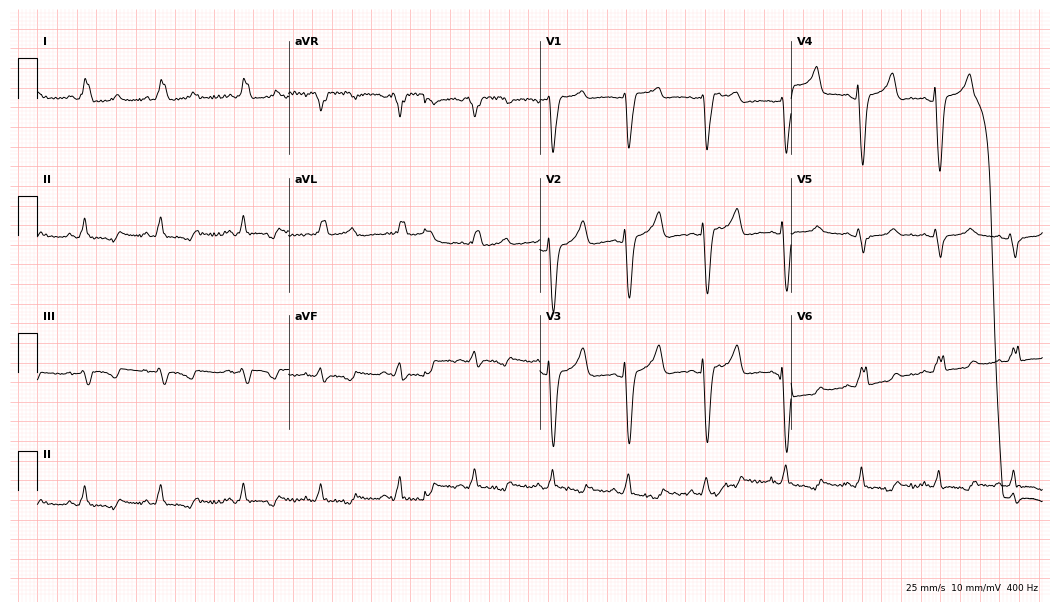
ECG (10.2-second recording at 400 Hz) — a female patient, 74 years old. Findings include left bundle branch block.